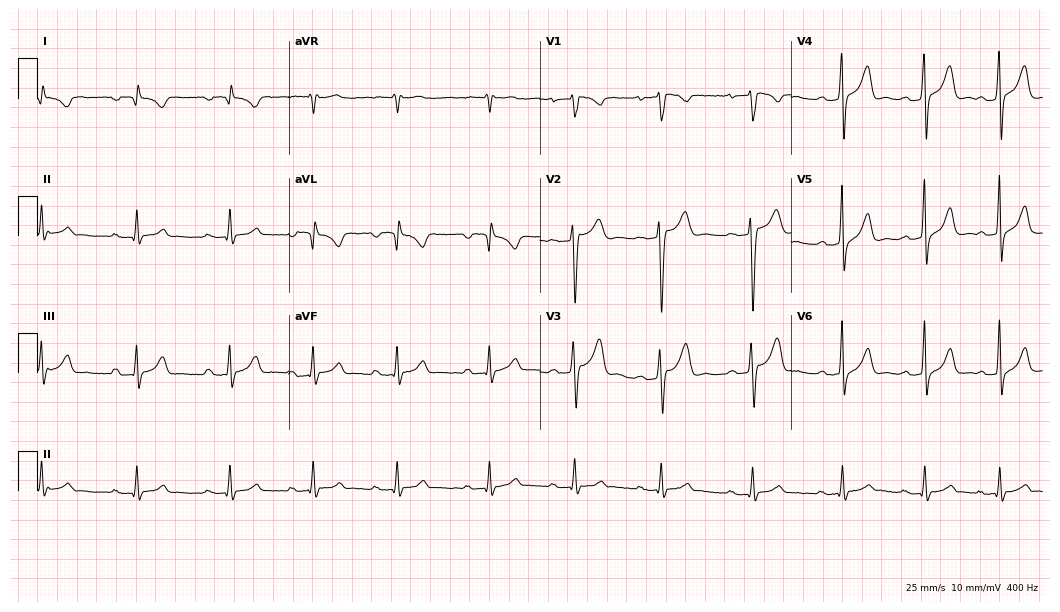
Standard 12-lead ECG recorded from a 22-year-old man (10.2-second recording at 400 Hz). None of these six findings is recorded: first-degree AV block, right bundle branch block (RBBB), left bundle branch block (LBBB), sinus bradycardia, atrial fibrillation (AF), sinus tachycardia.